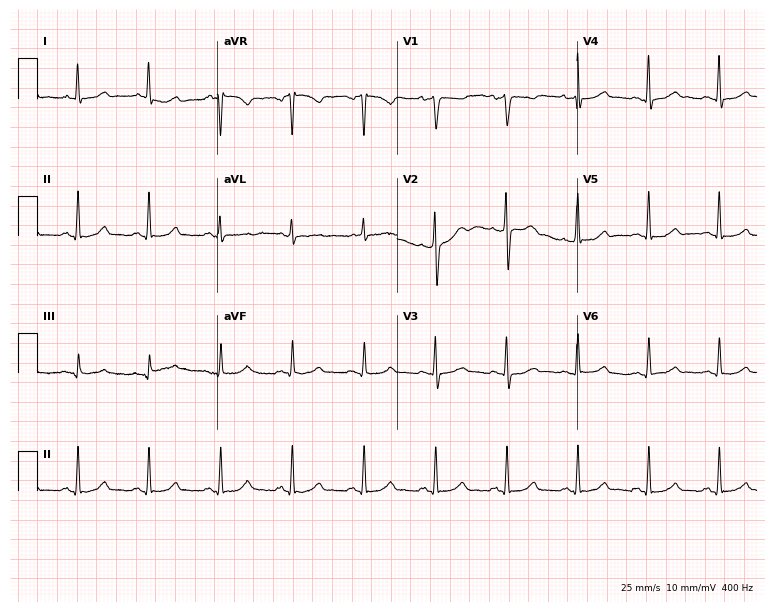
Electrocardiogram, a 55-year-old female patient. Overall reading on record: normal ECG.